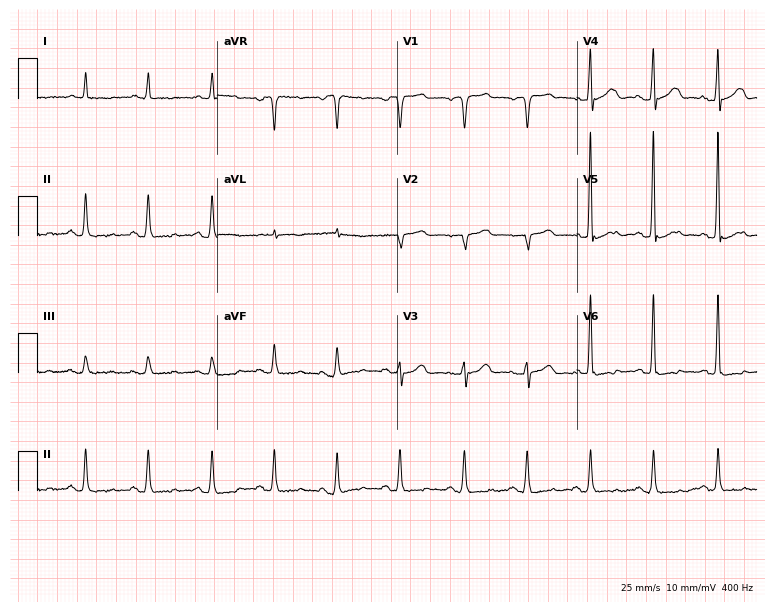
12-lead ECG from a male, 76 years old. No first-degree AV block, right bundle branch block (RBBB), left bundle branch block (LBBB), sinus bradycardia, atrial fibrillation (AF) or sinus tachycardia recorded for this tracing.